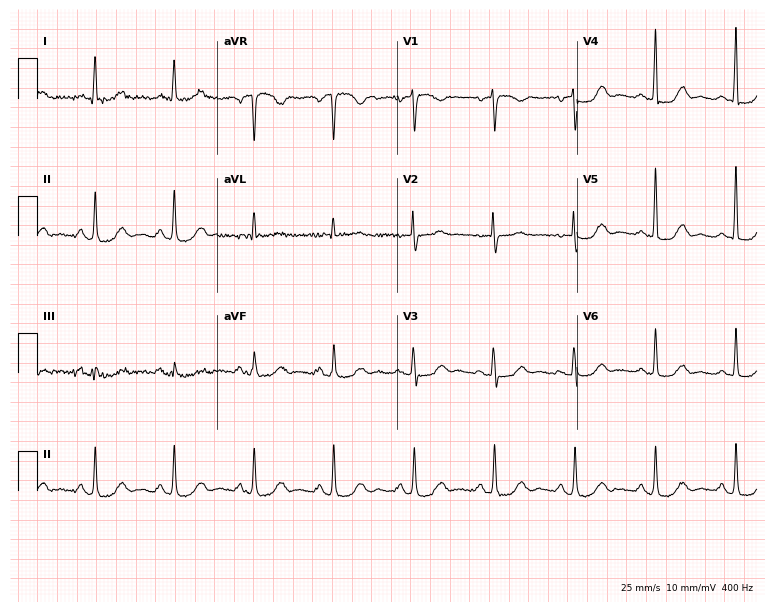
Resting 12-lead electrocardiogram. Patient: an 83-year-old woman. Read as a normal ECG.